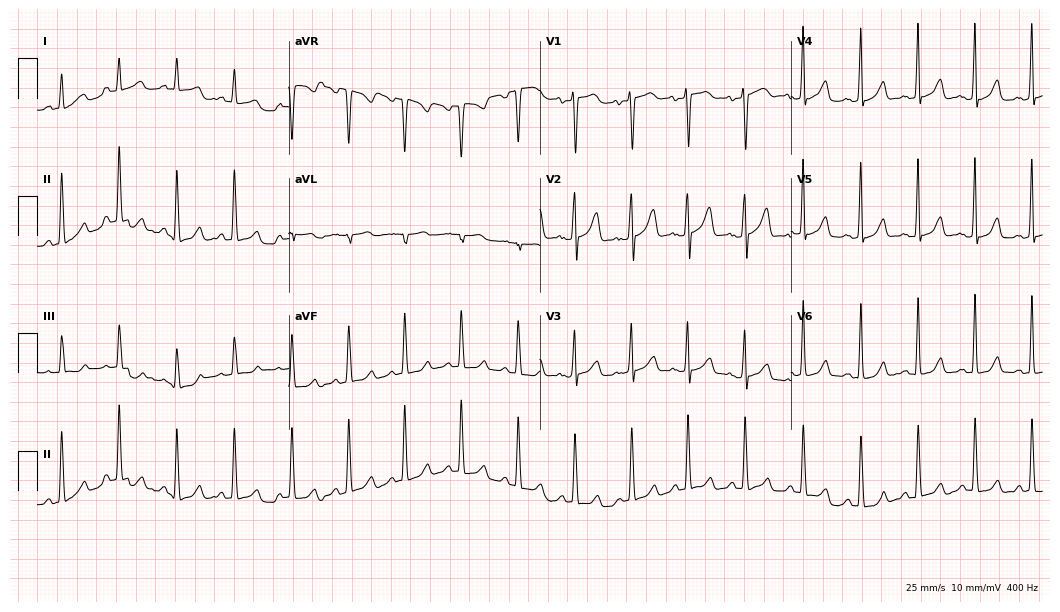
12-lead ECG from a 29-year-old female patient (10.2-second recording at 400 Hz). Shows sinus tachycardia (a sinus rate of 100 beats per minute or more).